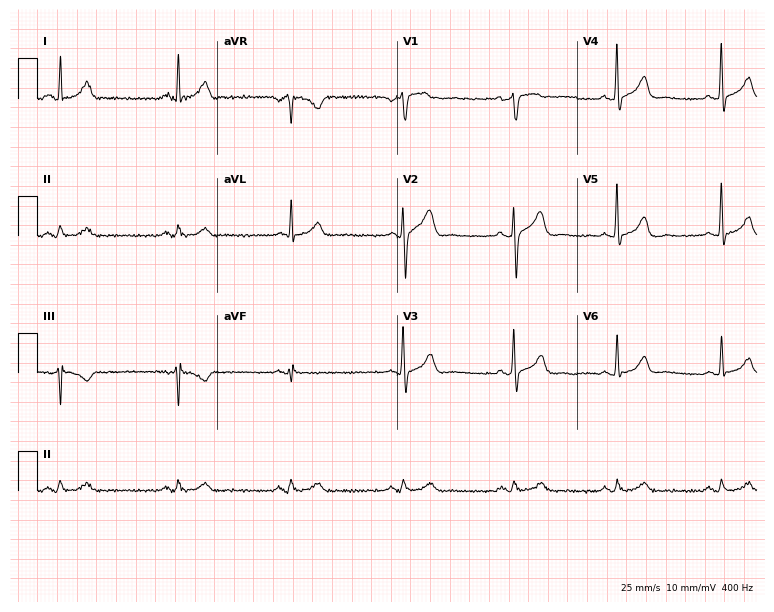
12-lead ECG from a 53-year-old male patient. Recorded interpretation: within normal limits.